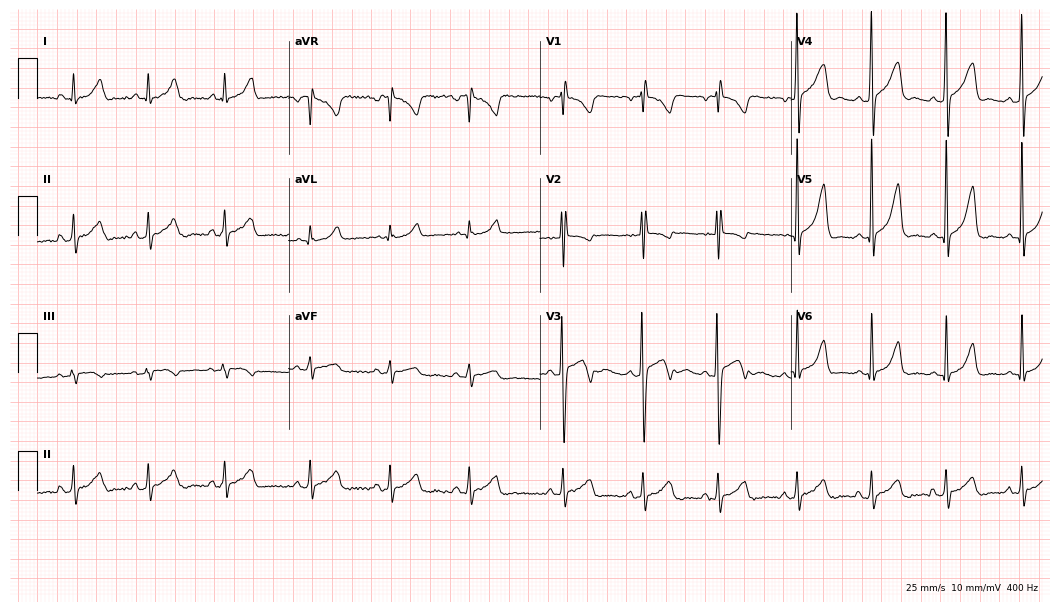
12-lead ECG (10.2-second recording at 400 Hz) from a female, 50 years old. Labelled as a normal ECG.